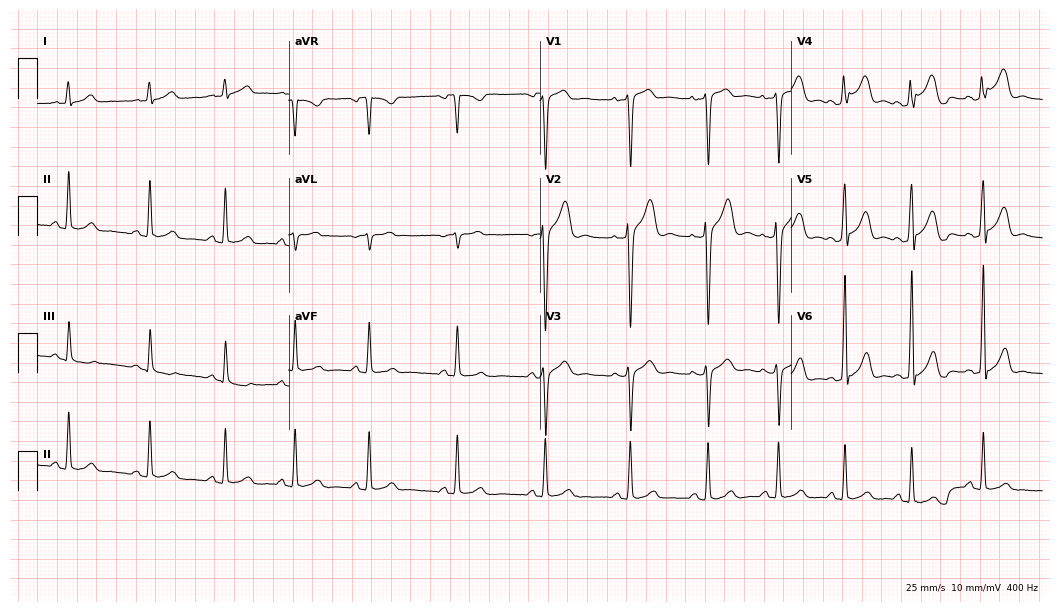
12-lead ECG (10.2-second recording at 400 Hz) from a male patient, 30 years old. Labelled as a normal ECG.